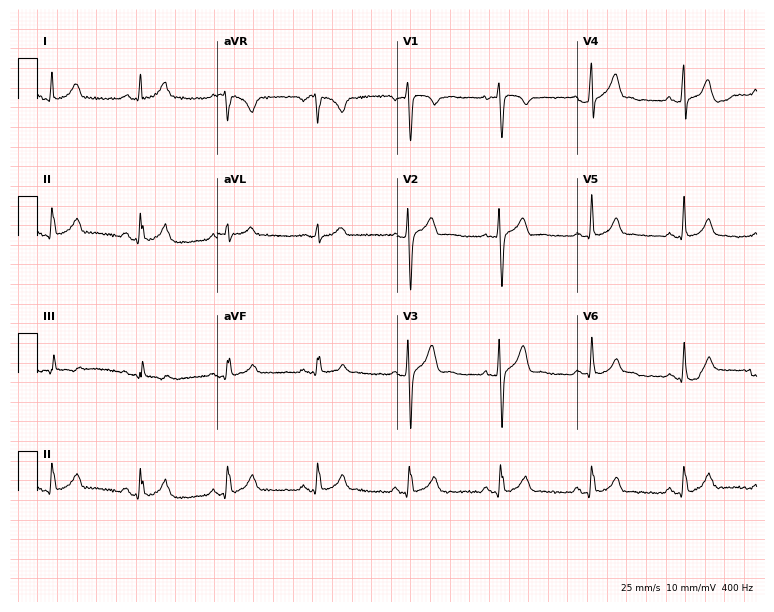
Standard 12-lead ECG recorded from a 21-year-old male (7.3-second recording at 400 Hz). None of these six findings is recorded: first-degree AV block, right bundle branch block, left bundle branch block, sinus bradycardia, atrial fibrillation, sinus tachycardia. Findings outside these six are not listed.